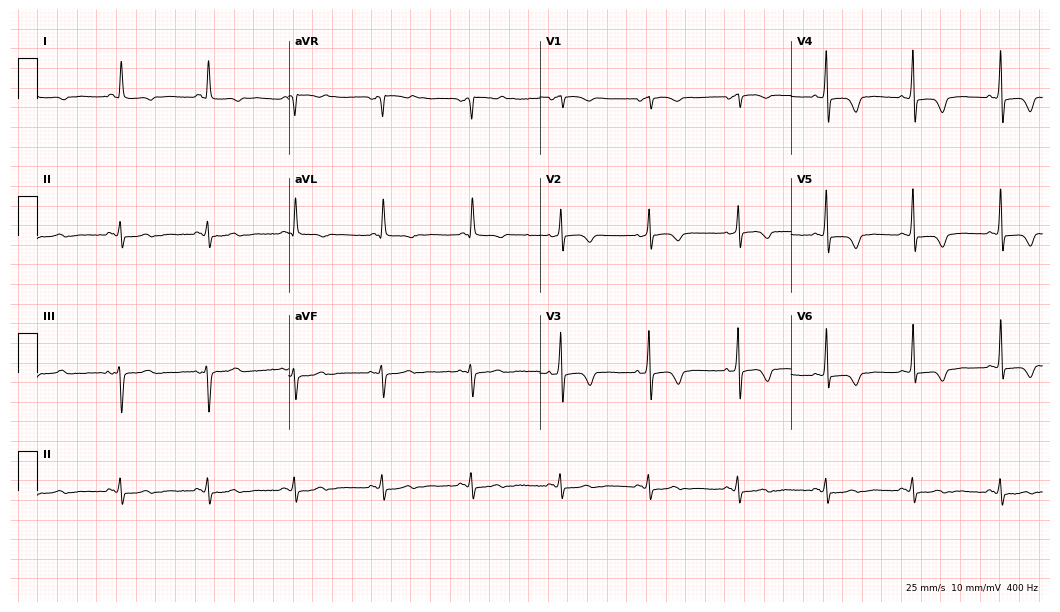
Electrocardiogram (10.2-second recording at 400 Hz), a woman, 78 years old. Of the six screened findings (first-degree AV block, right bundle branch block, left bundle branch block, sinus bradycardia, atrial fibrillation, sinus tachycardia), none is recorded. Other findings, if any, are not listed.